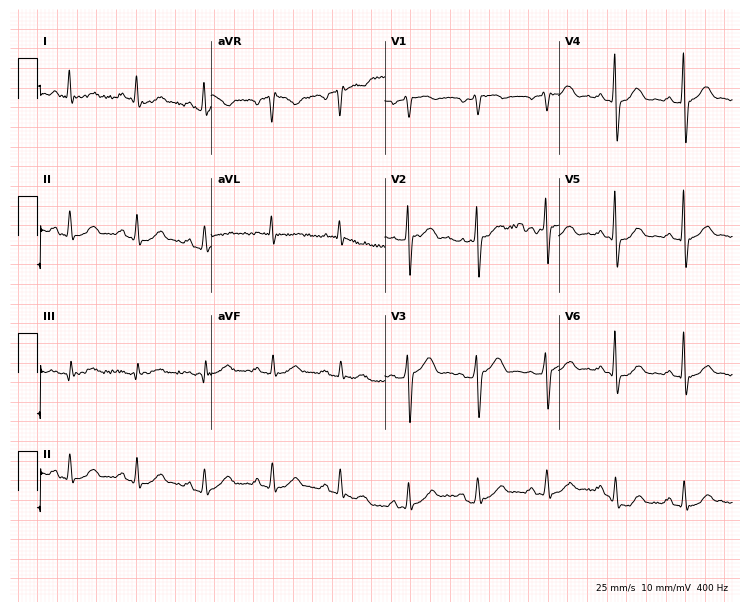
12-lead ECG from a 57-year-old male patient. Recorded interpretation: within normal limits.